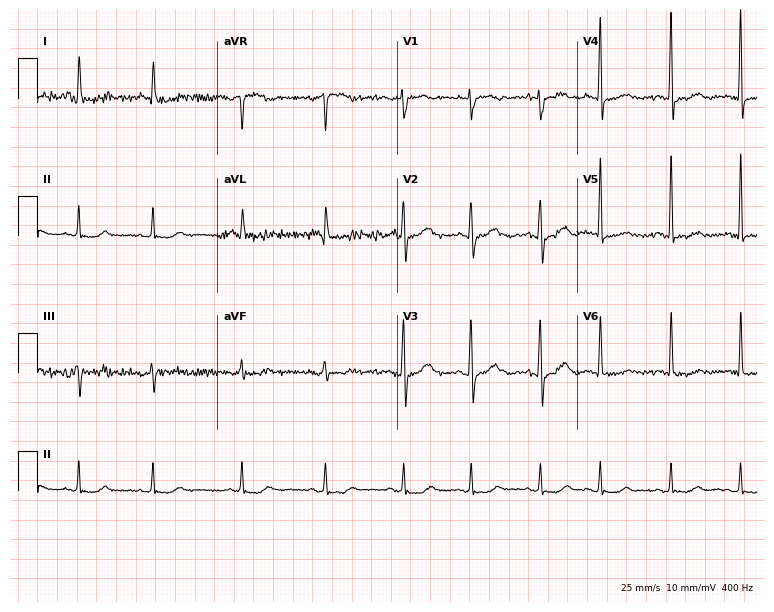
Resting 12-lead electrocardiogram. Patient: a woman, 62 years old. None of these six findings is recorded: first-degree AV block, right bundle branch block, left bundle branch block, sinus bradycardia, atrial fibrillation, sinus tachycardia.